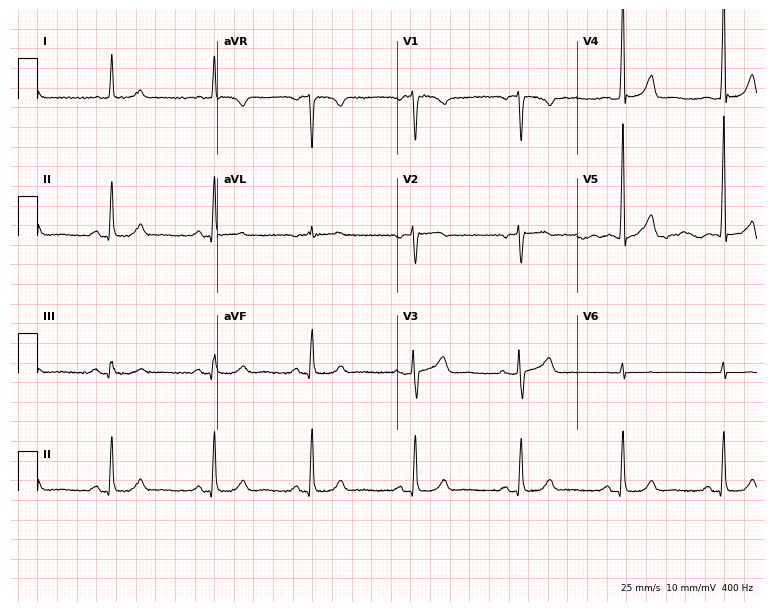
Electrocardiogram, a female patient, 71 years old. Overall reading on record: normal ECG.